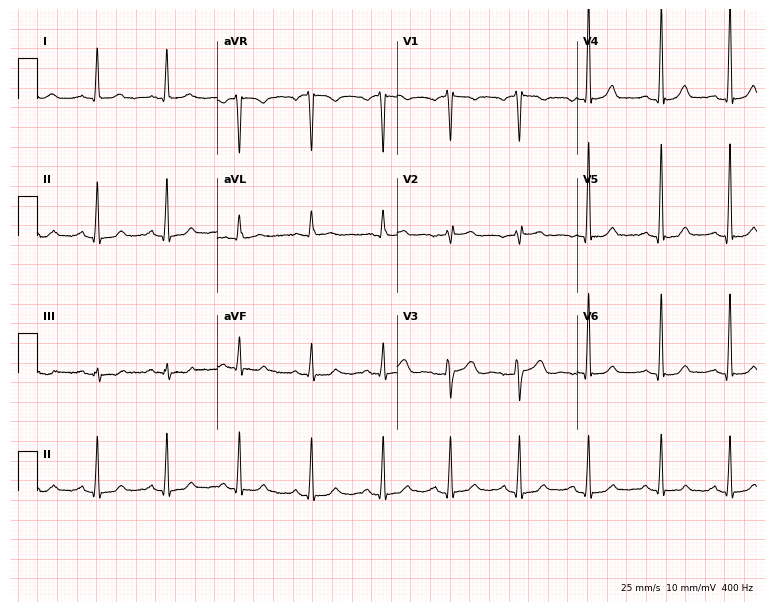
Resting 12-lead electrocardiogram. Patient: a 33-year-old female. Read as a normal ECG.